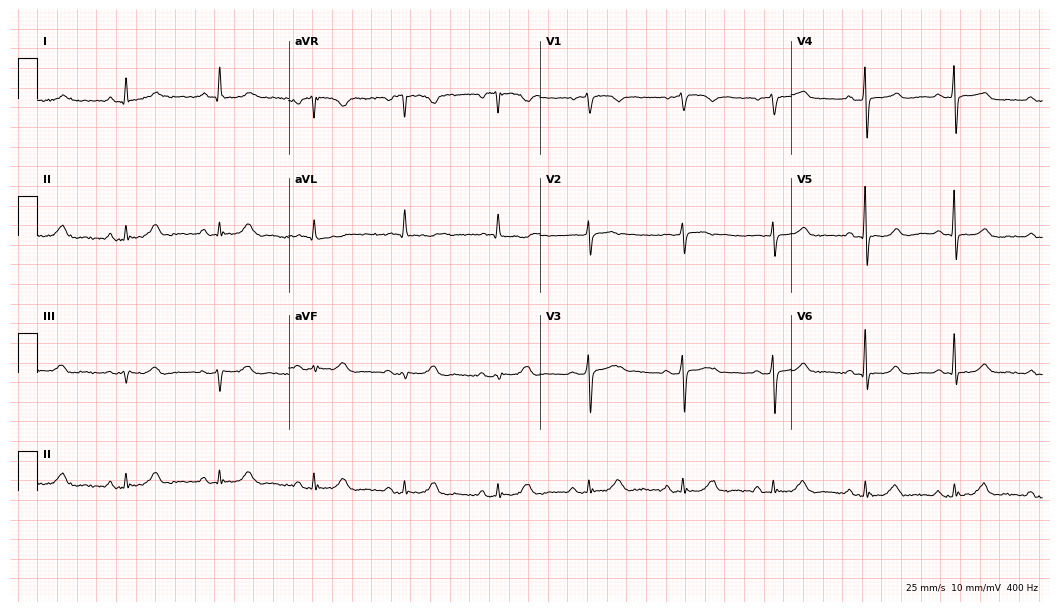
12-lead ECG (10.2-second recording at 400 Hz) from a 73-year-old woman. Labelled as a normal ECG.